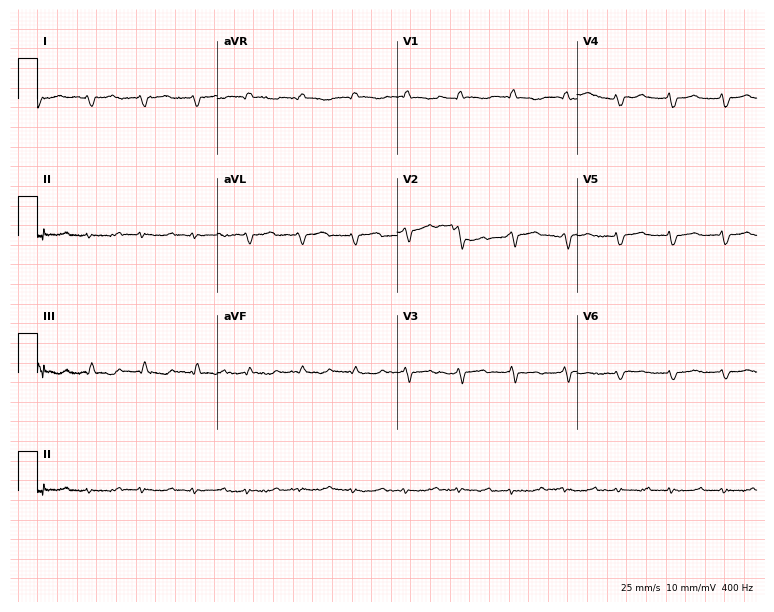
Resting 12-lead electrocardiogram. Patient: a woman, 67 years old. None of these six findings is recorded: first-degree AV block, right bundle branch block (RBBB), left bundle branch block (LBBB), sinus bradycardia, atrial fibrillation (AF), sinus tachycardia.